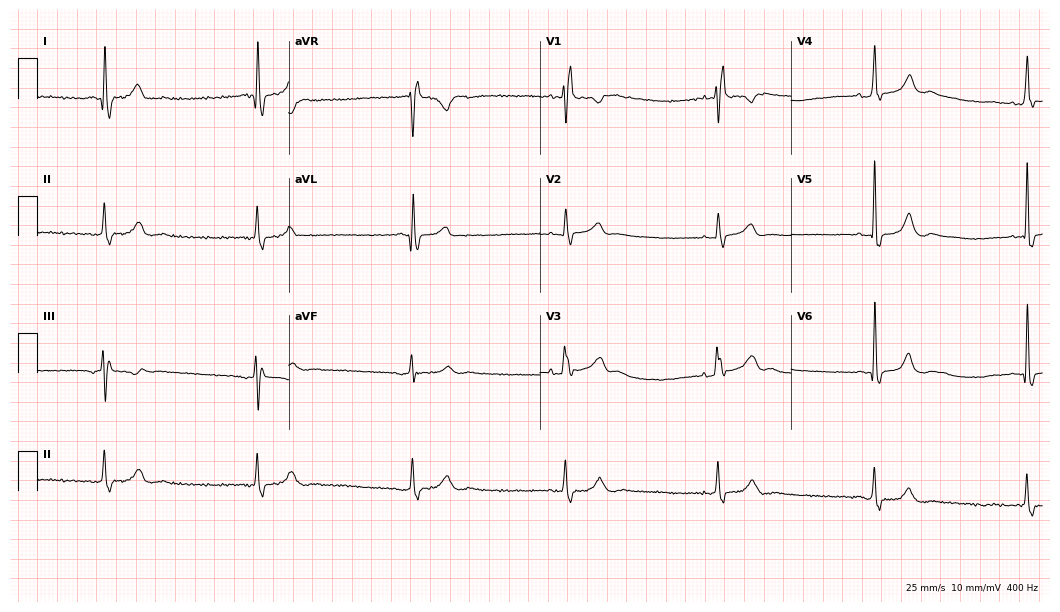
Resting 12-lead electrocardiogram (10.2-second recording at 400 Hz). Patient: a 56-year-old woman. None of these six findings is recorded: first-degree AV block, right bundle branch block, left bundle branch block, sinus bradycardia, atrial fibrillation, sinus tachycardia.